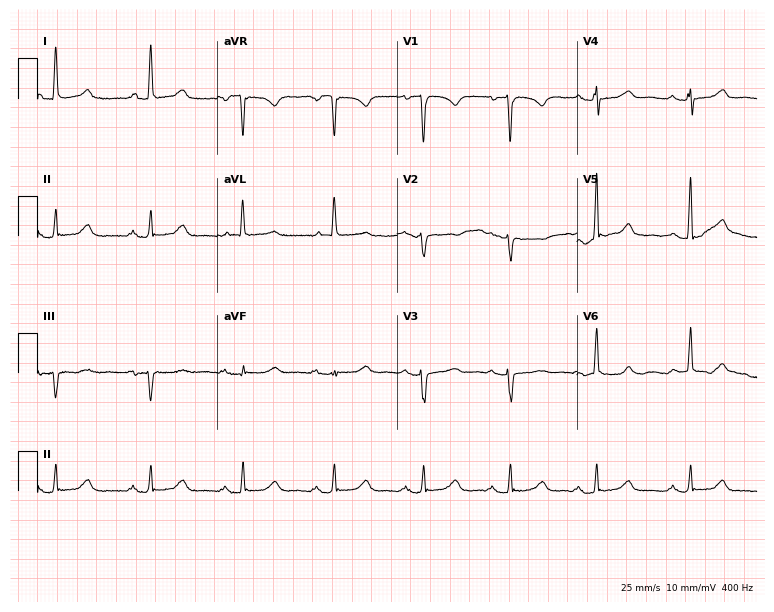
12-lead ECG from a female, 76 years old. No first-degree AV block, right bundle branch block, left bundle branch block, sinus bradycardia, atrial fibrillation or sinus tachycardia recorded for this tracing.